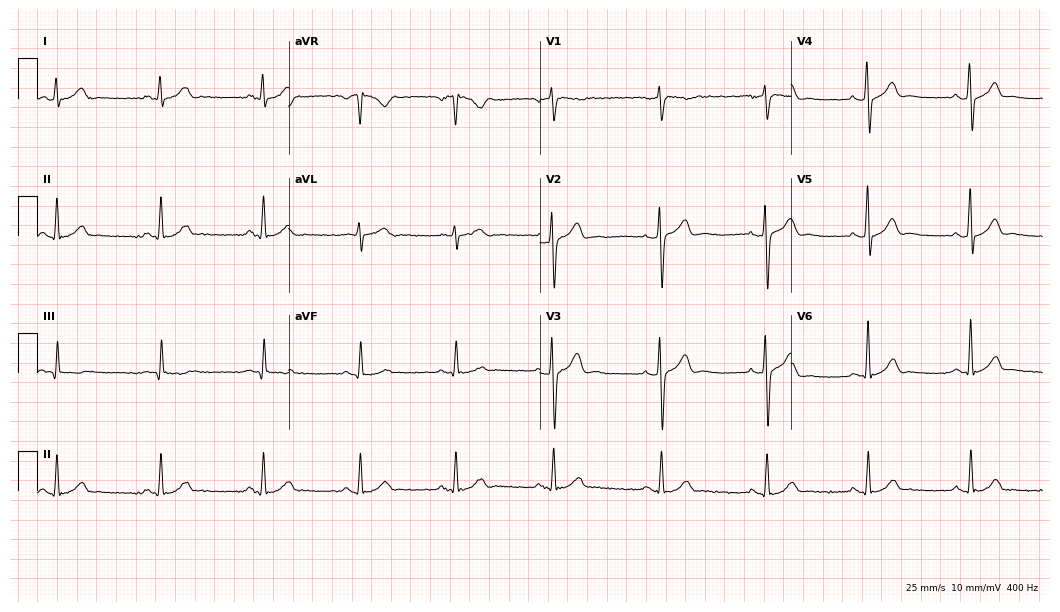
Resting 12-lead electrocardiogram (10.2-second recording at 400 Hz). Patient: a 36-year-old male. Read as a normal ECG.